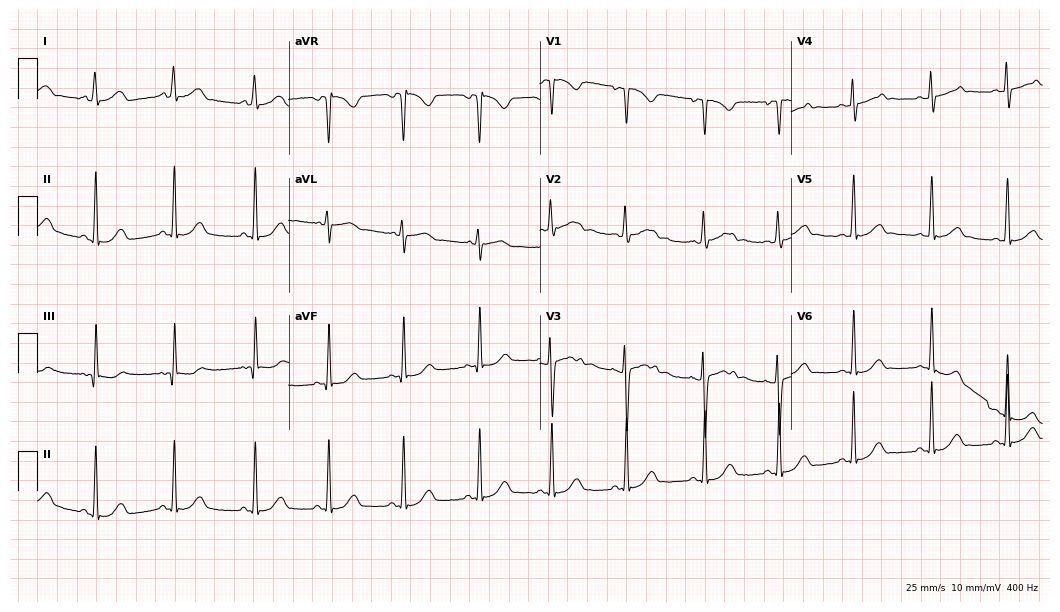
Electrocardiogram (10.2-second recording at 400 Hz), an 18-year-old woman. Overall reading on record: normal ECG.